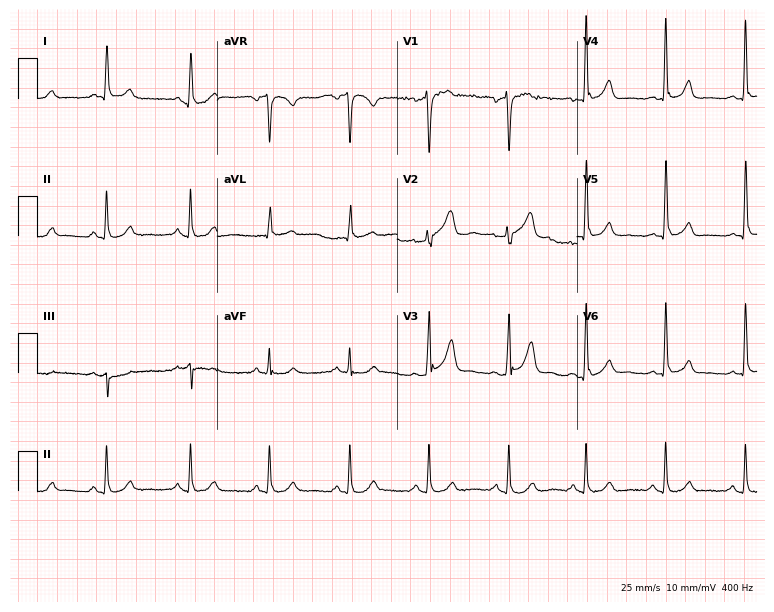
Standard 12-lead ECG recorded from a male, 56 years old (7.3-second recording at 400 Hz). Read as a normal ECG.